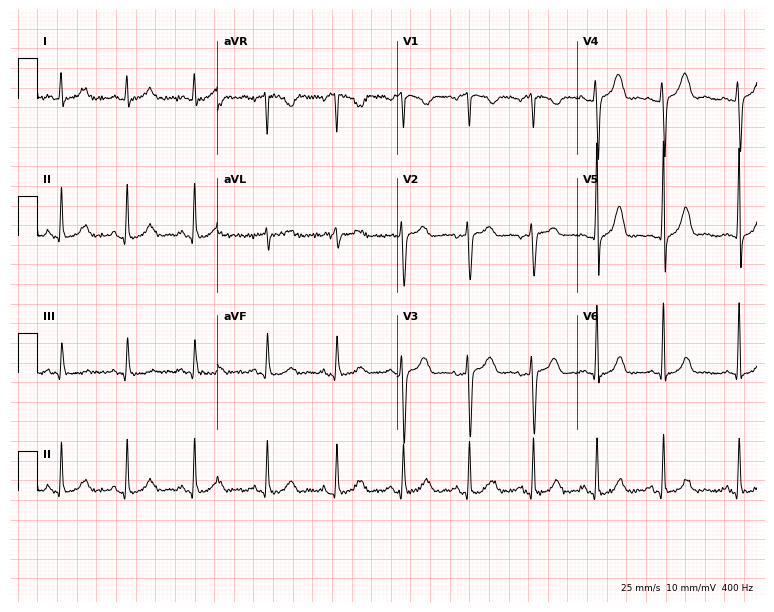
Standard 12-lead ECG recorded from a woman, 43 years old (7.3-second recording at 400 Hz). Read as a normal ECG.